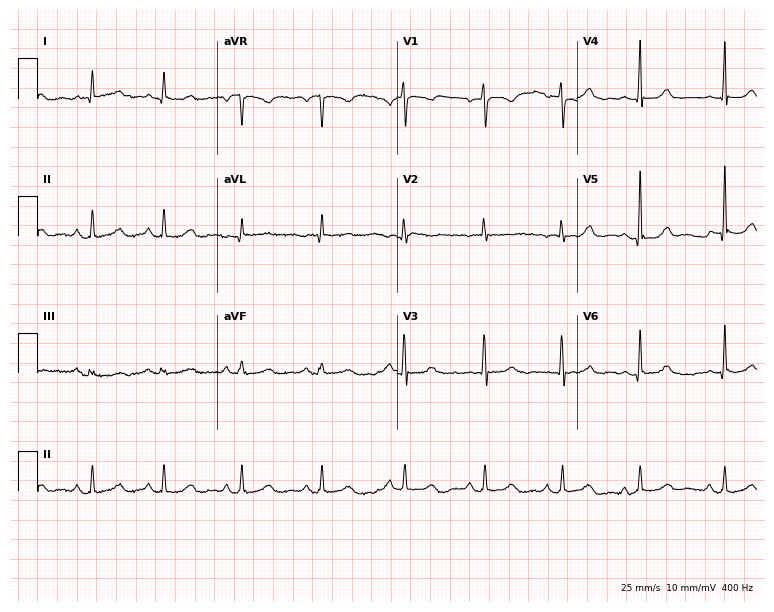
Electrocardiogram (7.3-second recording at 400 Hz), a 64-year-old female. Overall reading on record: normal ECG.